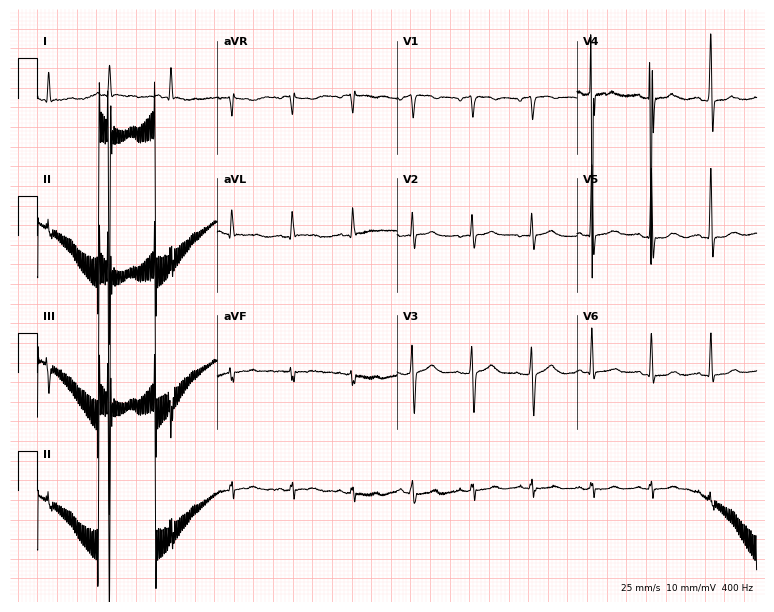
Standard 12-lead ECG recorded from a female patient, 55 years old (7.3-second recording at 400 Hz). None of these six findings is recorded: first-degree AV block, right bundle branch block, left bundle branch block, sinus bradycardia, atrial fibrillation, sinus tachycardia. Only these six findings were labelled.